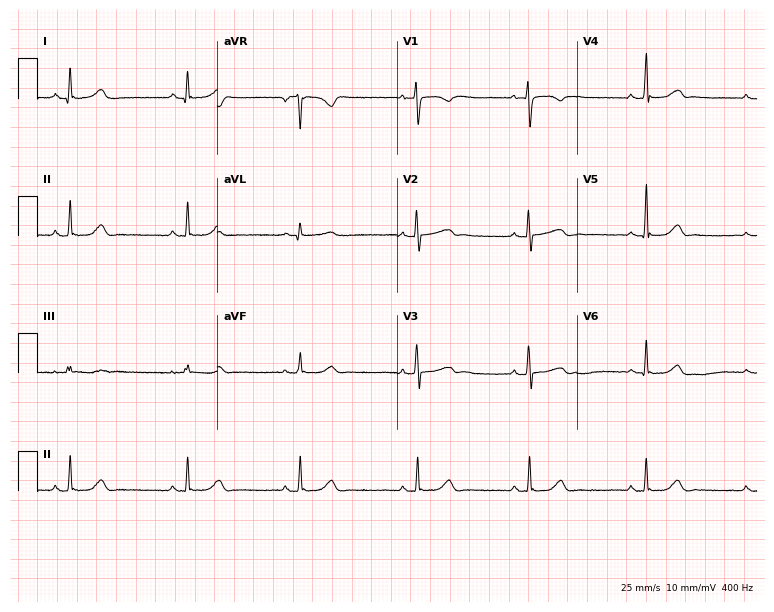
12-lead ECG (7.3-second recording at 400 Hz) from a 26-year-old female. Labelled as a normal ECG.